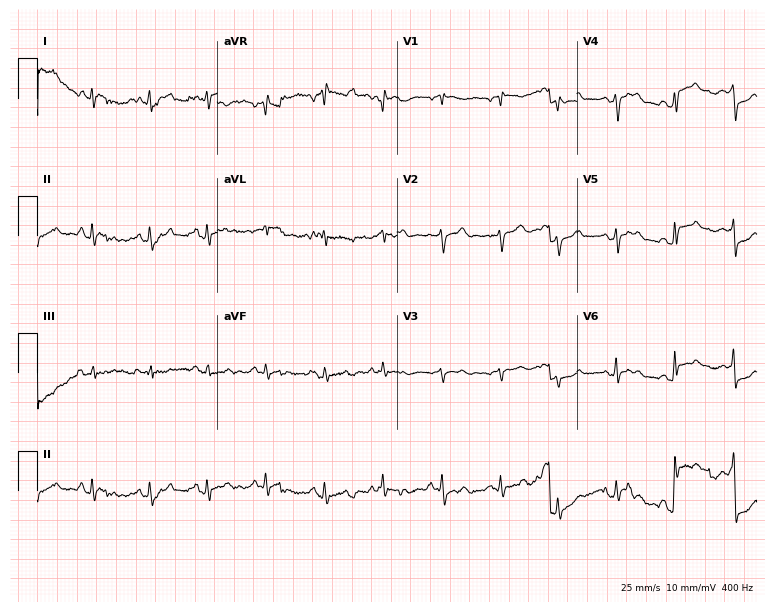
ECG — a woman, 49 years old. Screened for six findings — first-degree AV block, right bundle branch block (RBBB), left bundle branch block (LBBB), sinus bradycardia, atrial fibrillation (AF), sinus tachycardia — none is recorded.